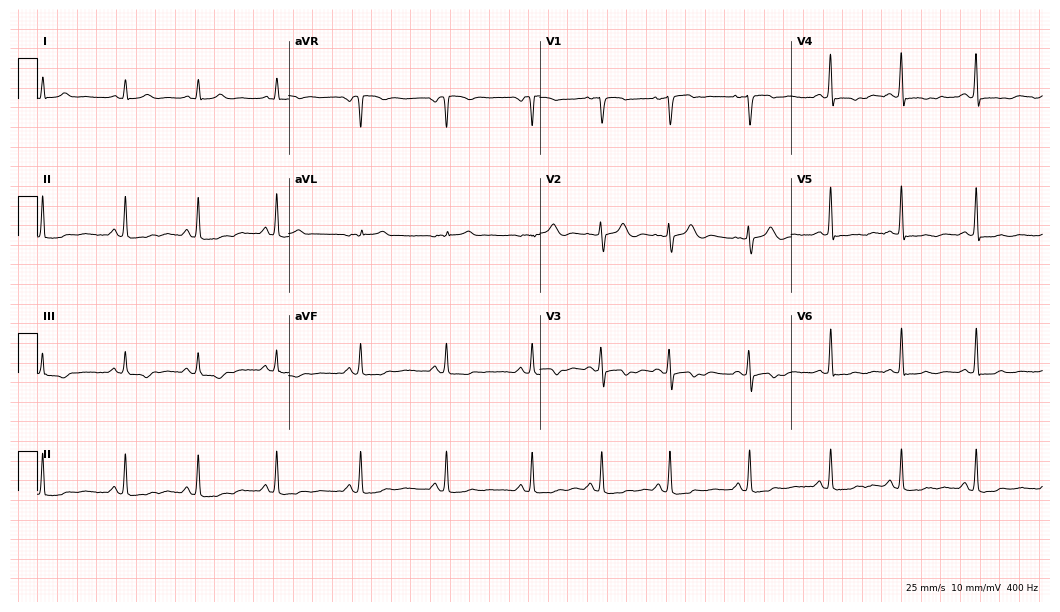
Electrocardiogram (10.2-second recording at 400 Hz), a female patient, 17 years old. Of the six screened findings (first-degree AV block, right bundle branch block (RBBB), left bundle branch block (LBBB), sinus bradycardia, atrial fibrillation (AF), sinus tachycardia), none is recorded. Other findings, if any, are not listed.